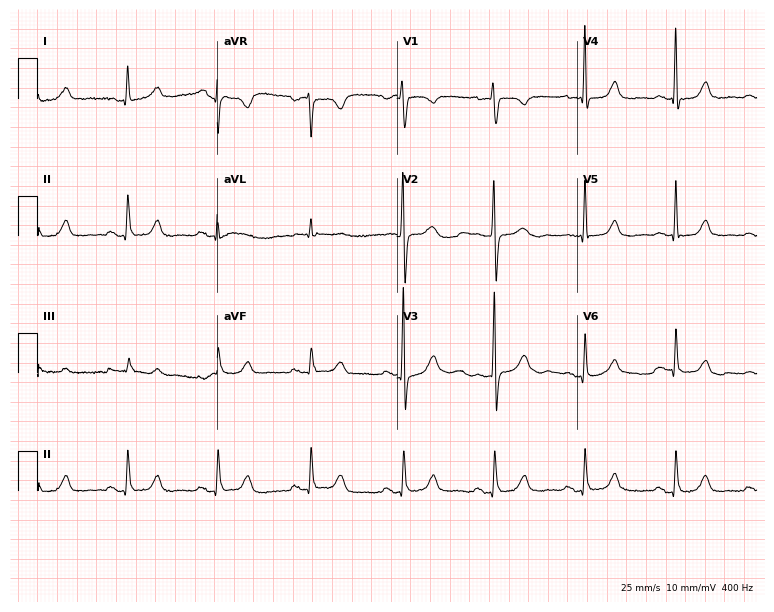
Resting 12-lead electrocardiogram (7.3-second recording at 400 Hz). Patient: a 61-year-old female. None of these six findings is recorded: first-degree AV block, right bundle branch block, left bundle branch block, sinus bradycardia, atrial fibrillation, sinus tachycardia. Only these six findings were labelled.